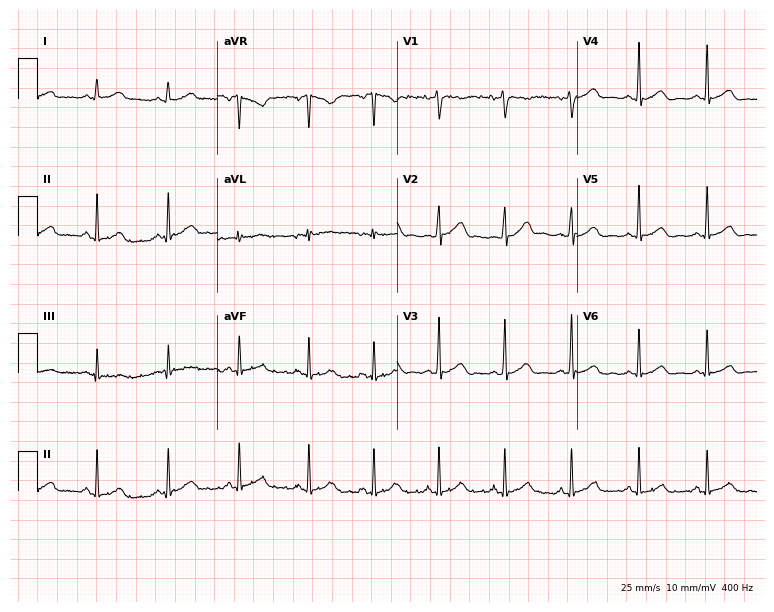
Electrocardiogram (7.3-second recording at 400 Hz), a 32-year-old woman. Overall reading on record: normal ECG.